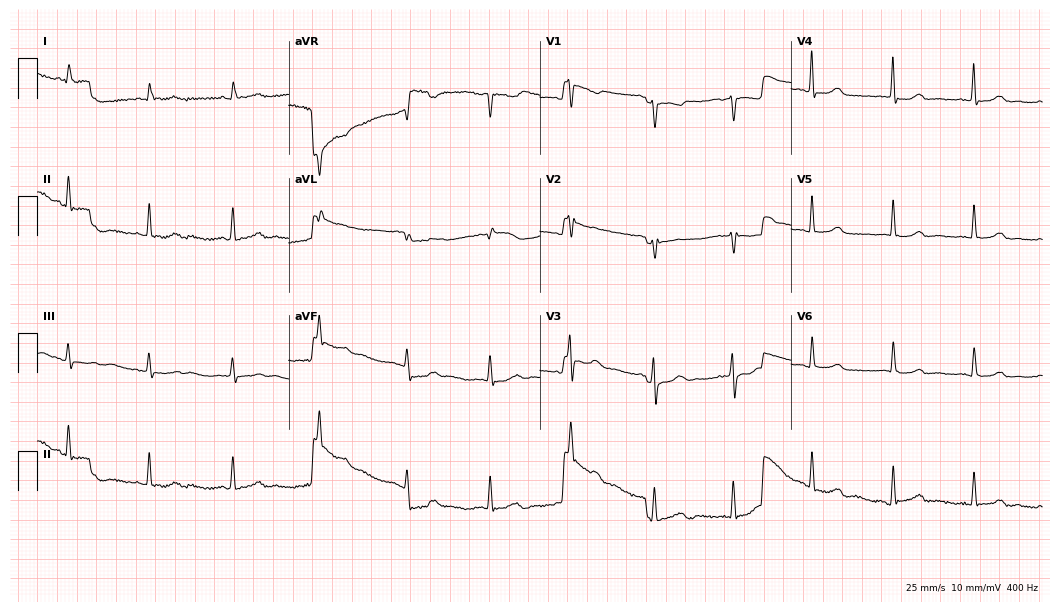
Electrocardiogram, a female patient, 50 years old. Overall reading on record: normal ECG.